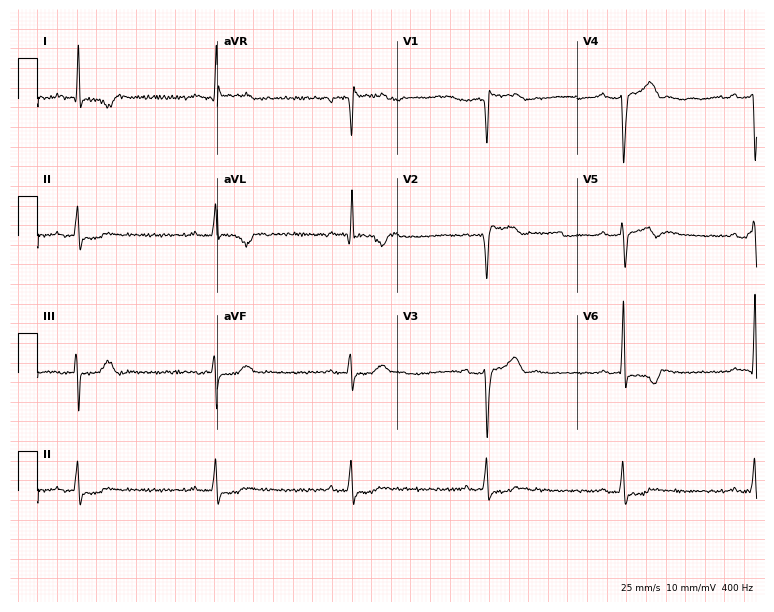
ECG — a male patient, 73 years old. Findings include sinus bradycardia (a sinus rate of 50 beats per minute or less).